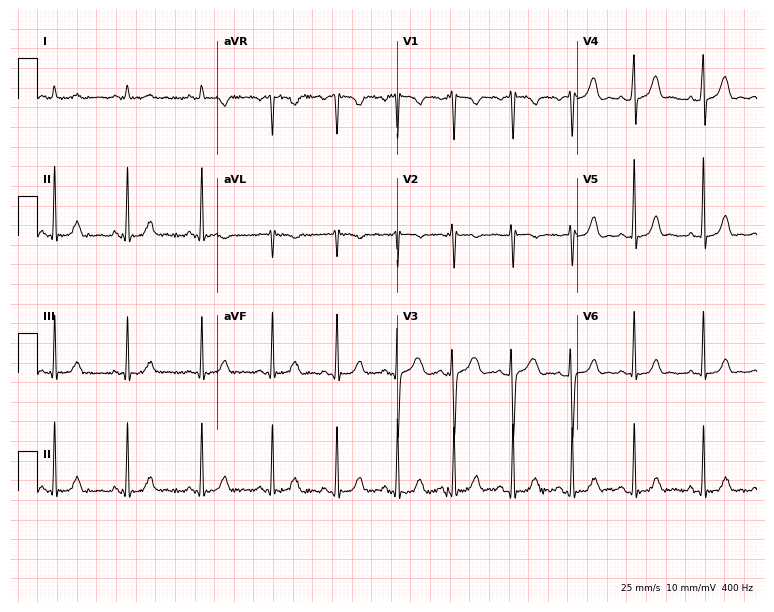
Electrocardiogram (7.3-second recording at 400 Hz), an 18-year-old woman. Overall reading on record: normal ECG.